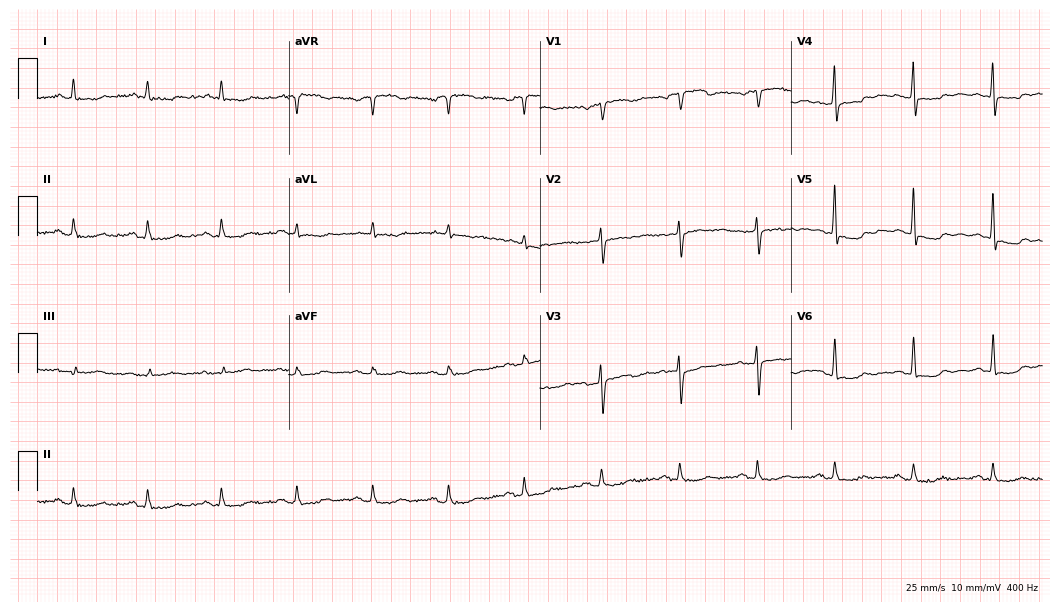
12-lead ECG from a 77-year-old man. Screened for six findings — first-degree AV block, right bundle branch block, left bundle branch block, sinus bradycardia, atrial fibrillation, sinus tachycardia — none is recorded. Findings outside these six are not listed.